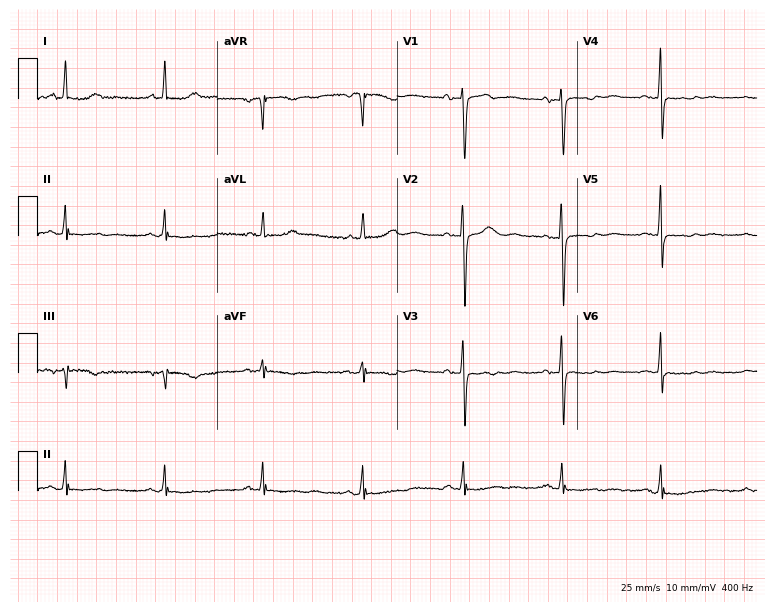
Standard 12-lead ECG recorded from a 59-year-old female patient. None of these six findings is recorded: first-degree AV block, right bundle branch block, left bundle branch block, sinus bradycardia, atrial fibrillation, sinus tachycardia. Only these six findings were labelled.